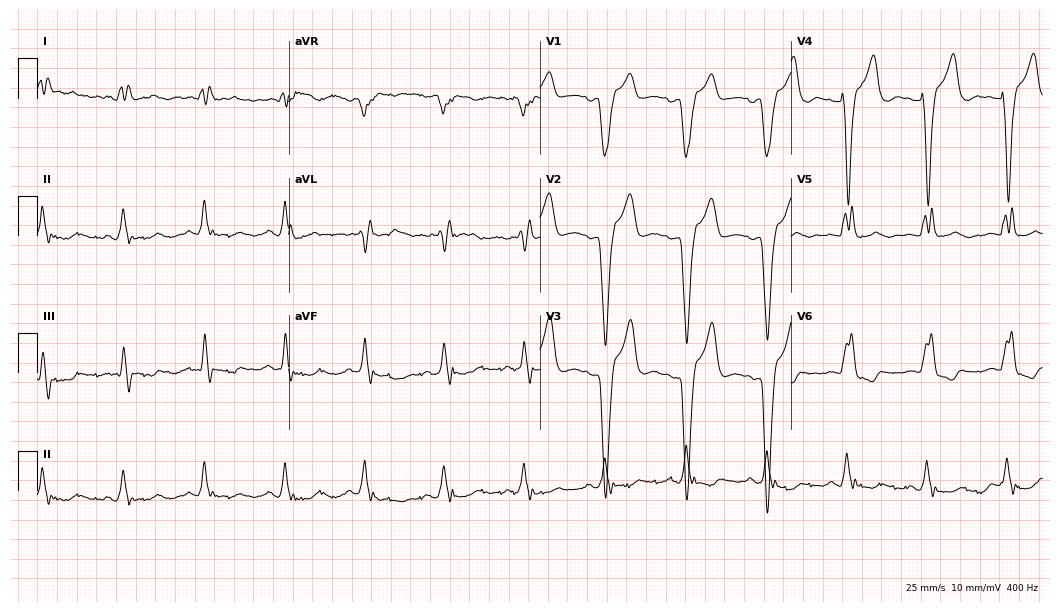
12-lead ECG from a 75-year-old female patient. Findings include left bundle branch block.